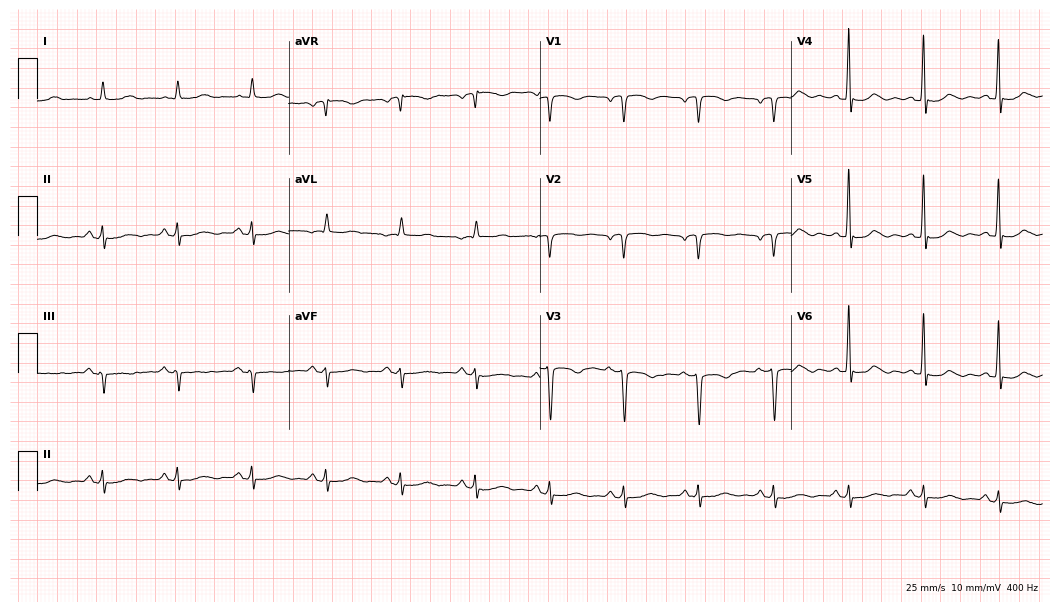
12-lead ECG from a woman, 74 years old (10.2-second recording at 400 Hz). No first-degree AV block, right bundle branch block, left bundle branch block, sinus bradycardia, atrial fibrillation or sinus tachycardia recorded for this tracing.